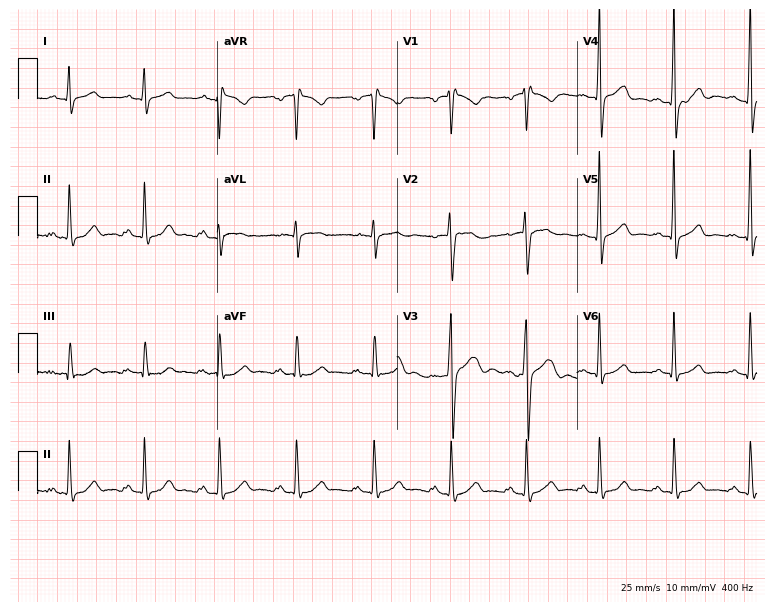
12-lead ECG (7.3-second recording at 400 Hz) from a male patient, 39 years old. Screened for six findings — first-degree AV block, right bundle branch block, left bundle branch block, sinus bradycardia, atrial fibrillation, sinus tachycardia — none is recorded.